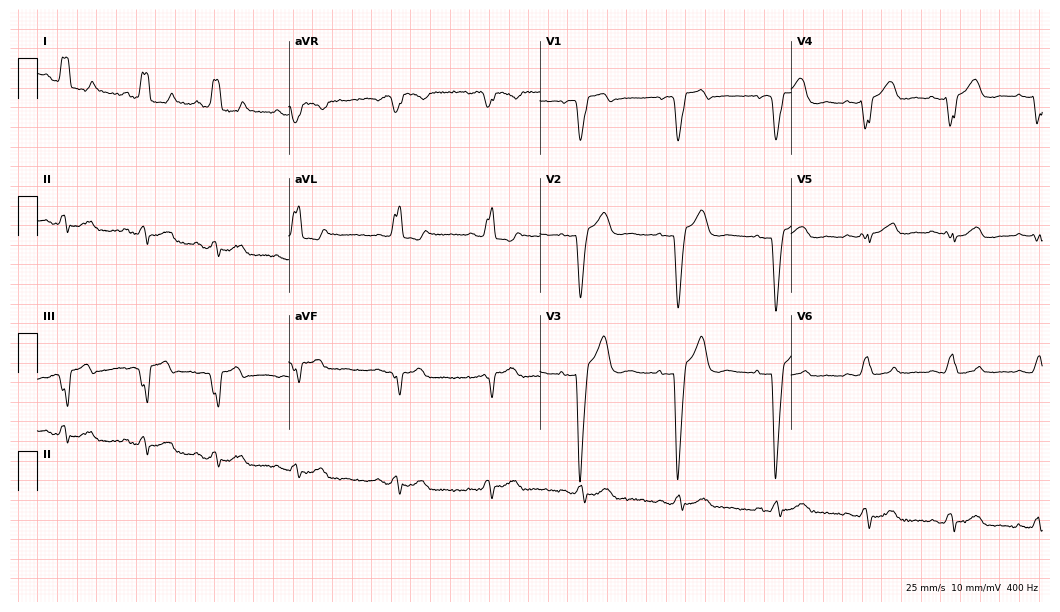
ECG (10.2-second recording at 400 Hz) — a 42-year-old female patient. Findings include left bundle branch block (LBBB).